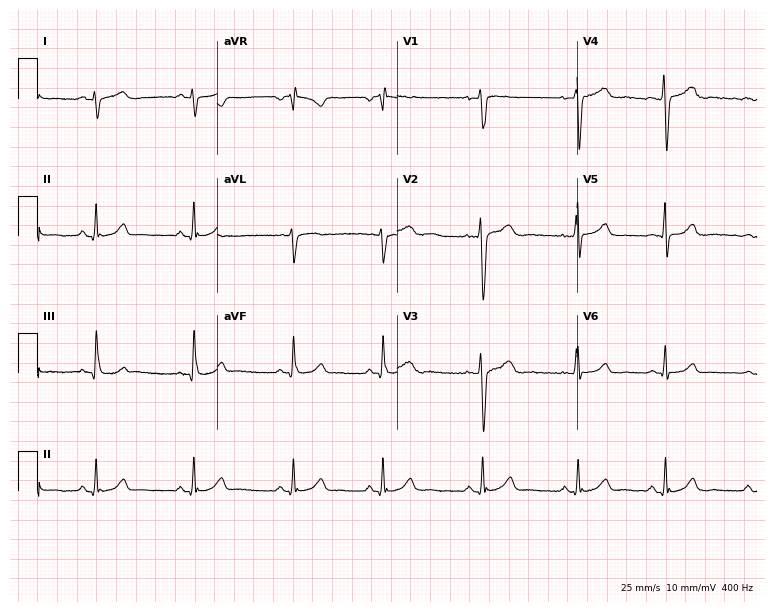
Standard 12-lead ECG recorded from a 36-year-old female patient. None of these six findings is recorded: first-degree AV block, right bundle branch block (RBBB), left bundle branch block (LBBB), sinus bradycardia, atrial fibrillation (AF), sinus tachycardia. Only these six findings were labelled.